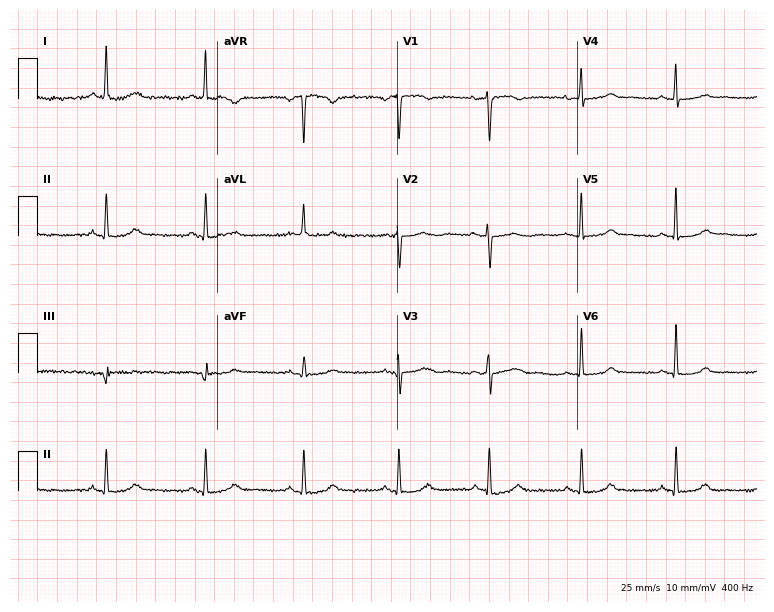
Resting 12-lead electrocardiogram (7.3-second recording at 400 Hz). Patient: a 52-year-old female. None of these six findings is recorded: first-degree AV block, right bundle branch block, left bundle branch block, sinus bradycardia, atrial fibrillation, sinus tachycardia. Other findings, if any, are not listed.